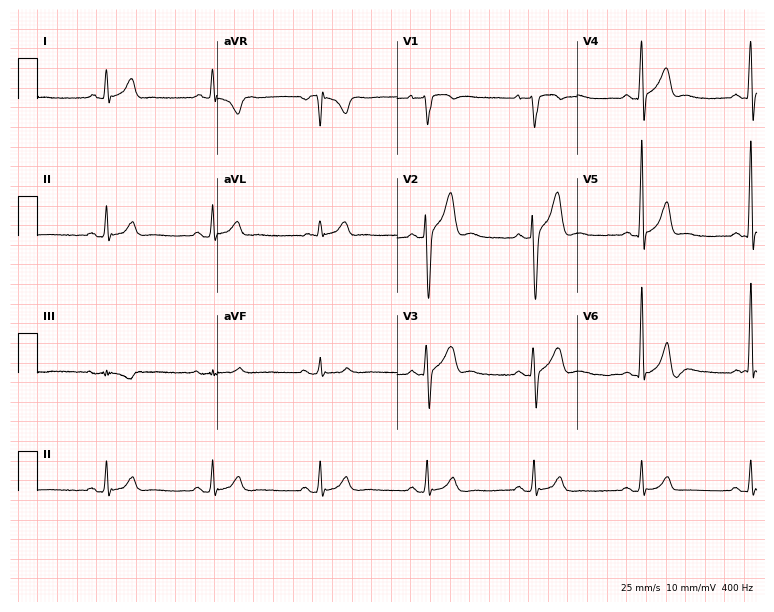
Standard 12-lead ECG recorded from a man, 41 years old. None of these six findings is recorded: first-degree AV block, right bundle branch block, left bundle branch block, sinus bradycardia, atrial fibrillation, sinus tachycardia. Only these six findings were labelled.